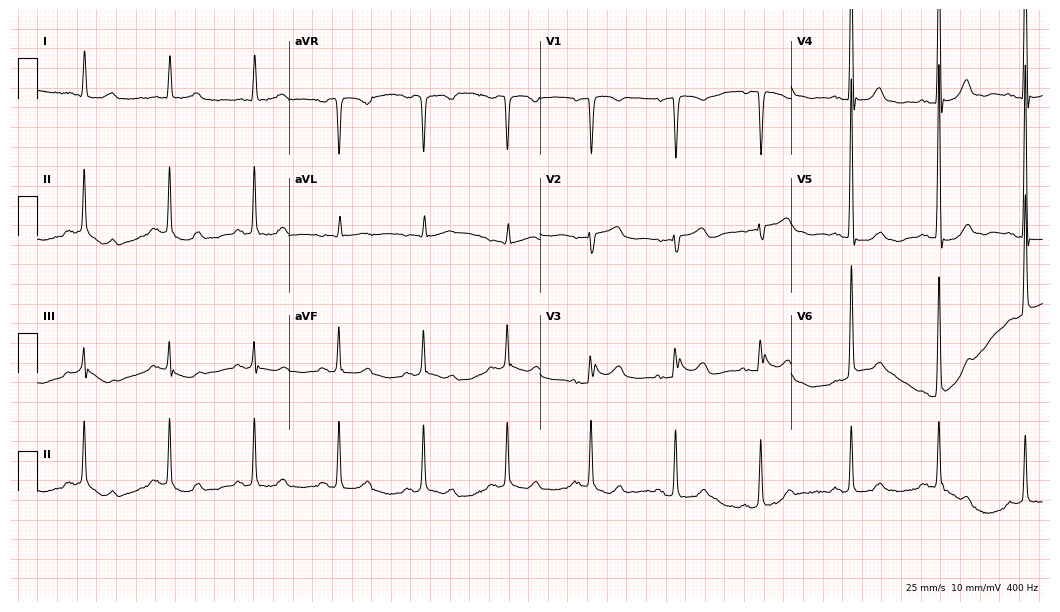
Resting 12-lead electrocardiogram (10.2-second recording at 400 Hz). Patient: a female, 82 years old. Read as a normal ECG.